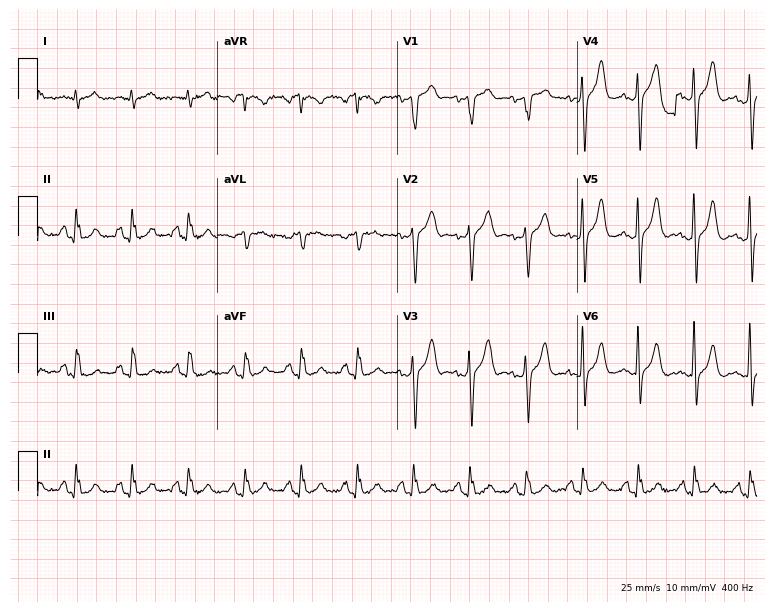
ECG (7.3-second recording at 400 Hz) — a 71-year-old male. Labelled as a normal ECG.